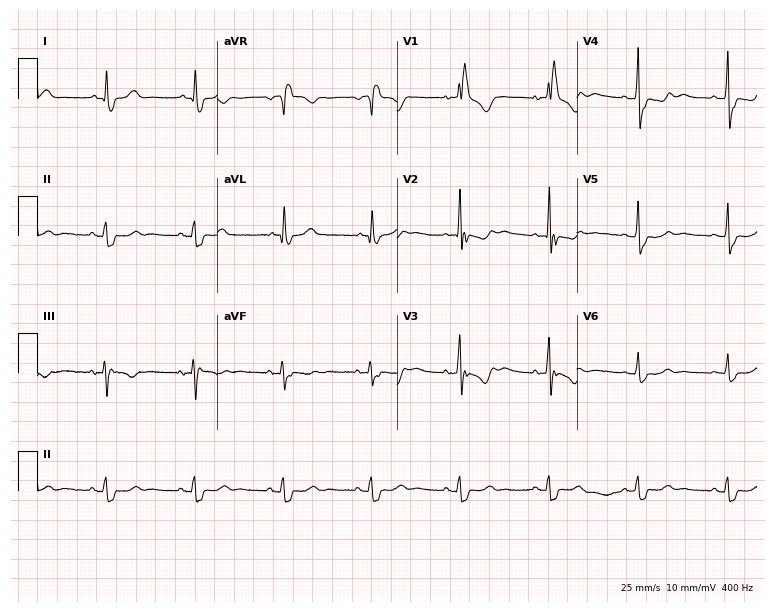
12-lead ECG from a 60-year-old female patient. Shows right bundle branch block.